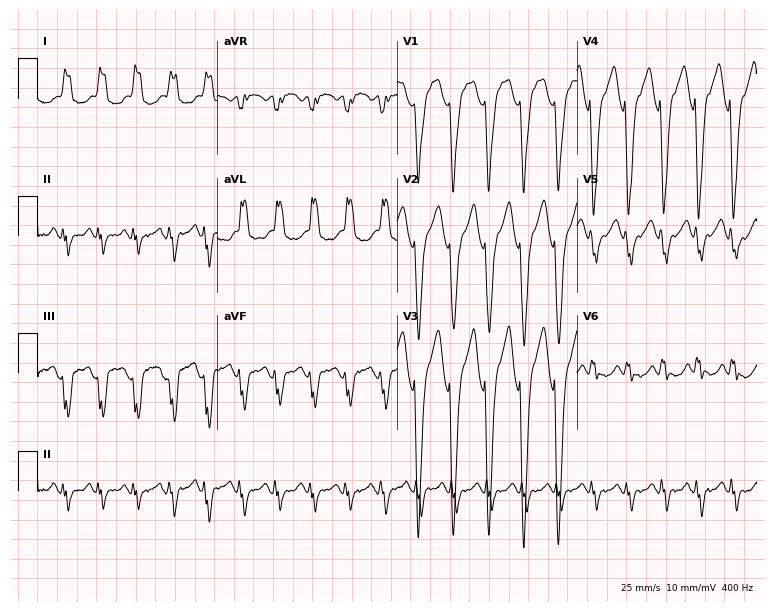
ECG (7.3-second recording at 400 Hz) — a 57-year-old female patient. Findings include left bundle branch block (LBBB), sinus tachycardia (a sinus rate of 100 beats per minute or more).